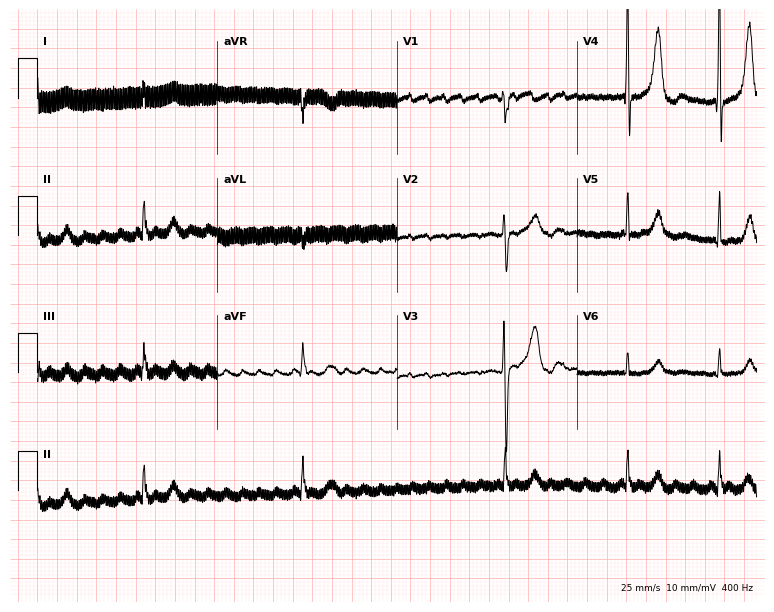
Standard 12-lead ECG recorded from a man, 80 years old (7.3-second recording at 400 Hz). None of these six findings is recorded: first-degree AV block, right bundle branch block, left bundle branch block, sinus bradycardia, atrial fibrillation, sinus tachycardia. Only these six findings were labelled.